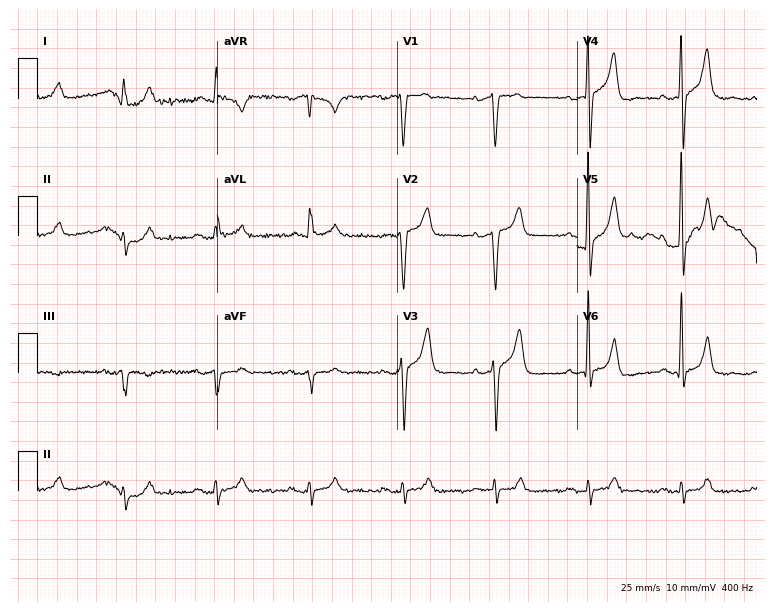
12-lead ECG from a 64-year-old male patient. Recorded interpretation: within normal limits.